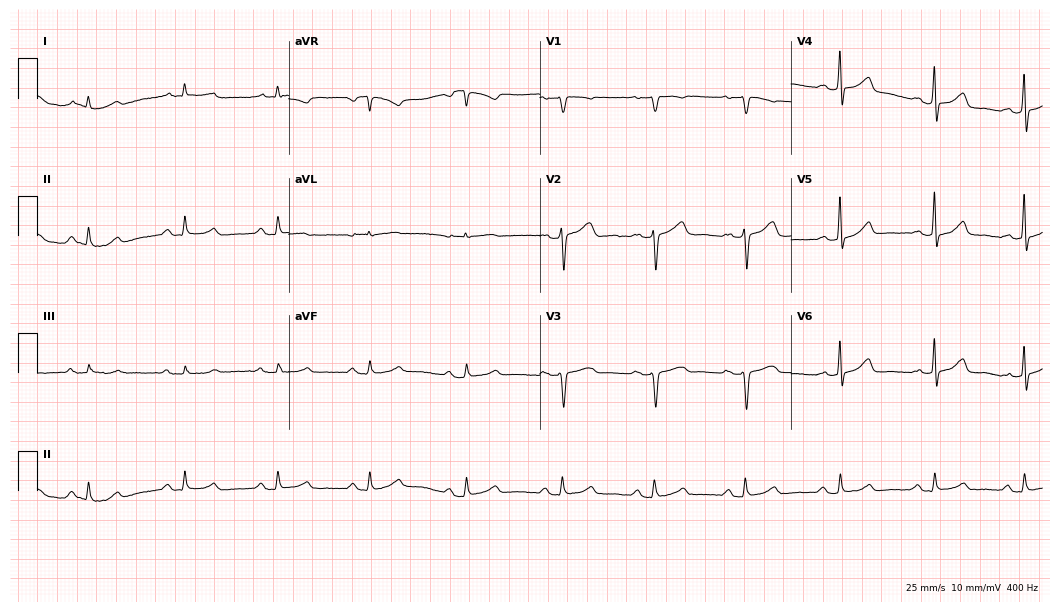
Resting 12-lead electrocardiogram. Patient: a 50-year-old female. None of these six findings is recorded: first-degree AV block, right bundle branch block, left bundle branch block, sinus bradycardia, atrial fibrillation, sinus tachycardia.